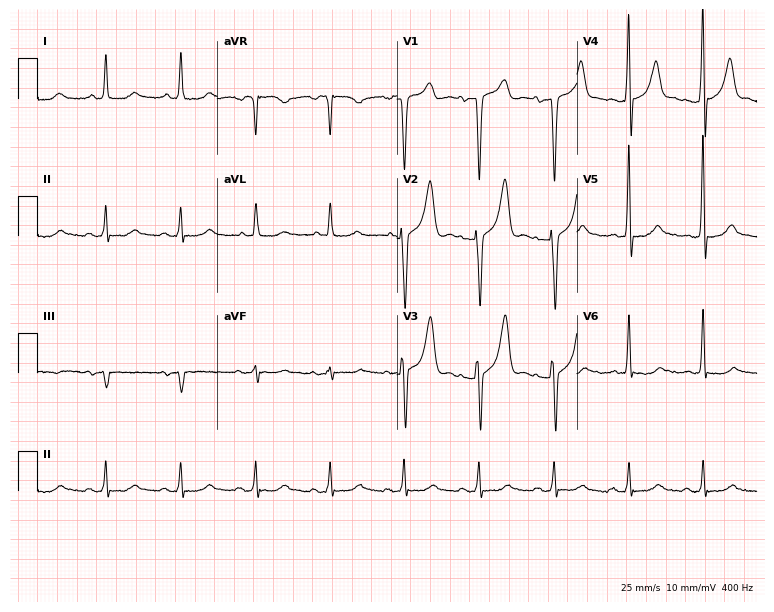
Resting 12-lead electrocardiogram (7.3-second recording at 400 Hz). Patient: a 49-year-old male. None of these six findings is recorded: first-degree AV block, right bundle branch block, left bundle branch block, sinus bradycardia, atrial fibrillation, sinus tachycardia.